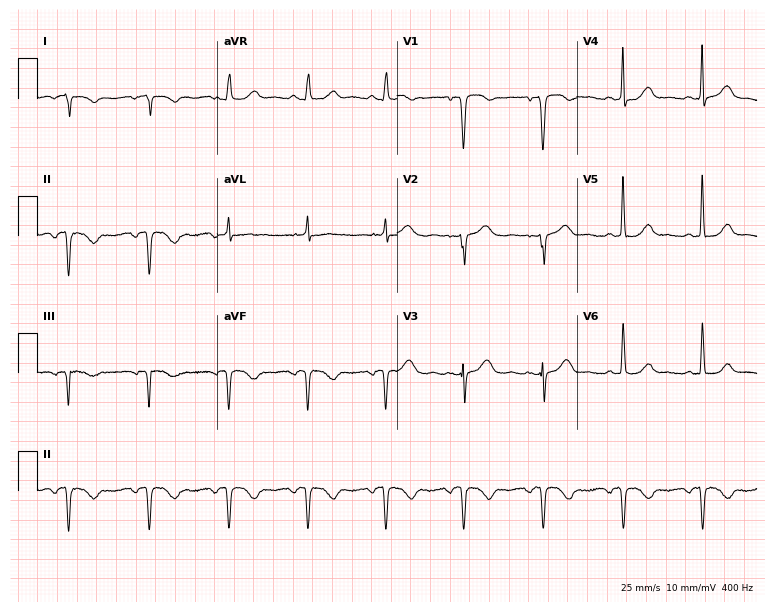
12-lead ECG from a 60-year-old female (7.3-second recording at 400 Hz). No first-degree AV block, right bundle branch block, left bundle branch block, sinus bradycardia, atrial fibrillation or sinus tachycardia recorded for this tracing.